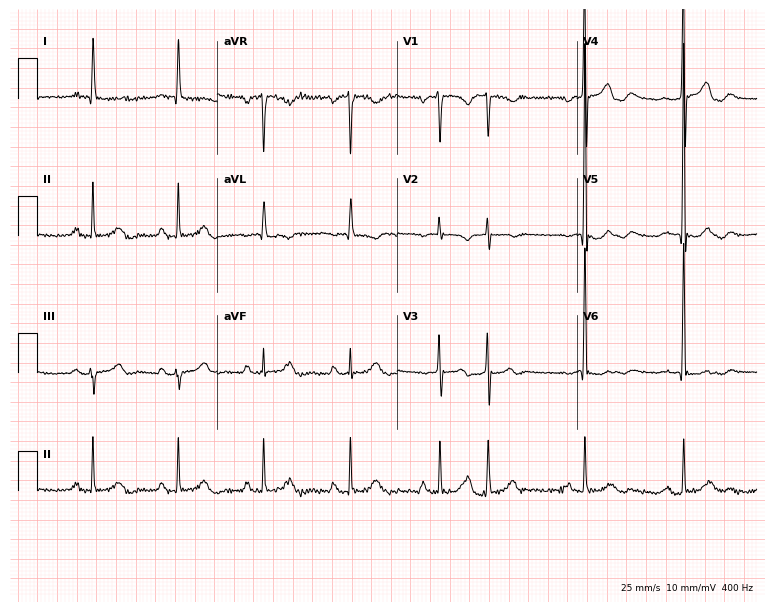
Resting 12-lead electrocardiogram (7.3-second recording at 400 Hz). Patient: a man, 68 years old. None of these six findings is recorded: first-degree AV block, right bundle branch block, left bundle branch block, sinus bradycardia, atrial fibrillation, sinus tachycardia. Other findings, if any, are not listed.